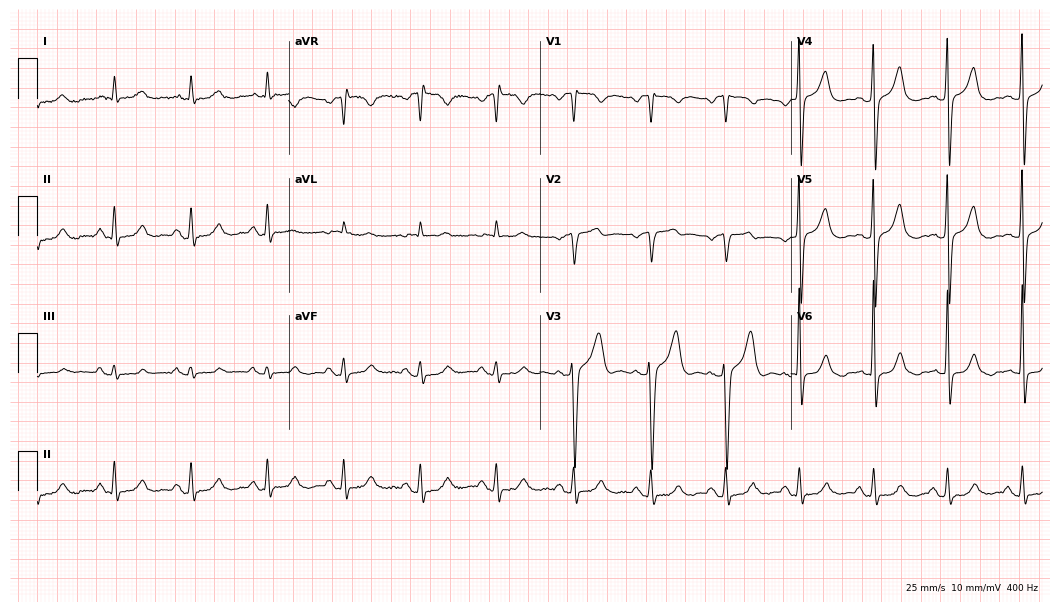
12-lead ECG (10.2-second recording at 400 Hz) from a 51-year-old male. Screened for six findings — first-degree AV block, right bundle branch block, left bundle branch block, sinus bradycardia, atrial fibrillation, sinus tachycardia — none is recorded. Other findings, if any, are not listed.